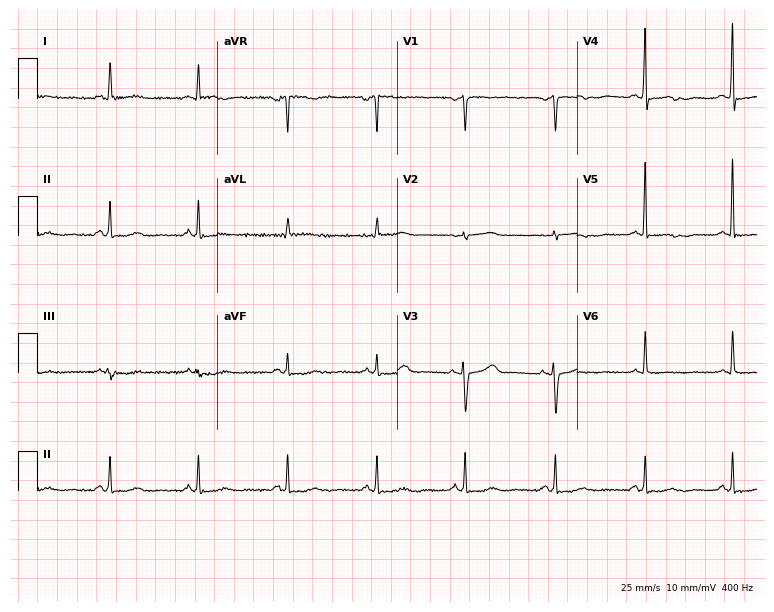
Resting 12-lead electrocardiogram. Patient: a 73-year-old female. None of these six findings is recorded: first-degree AV block, right bundle branch block, left bundle branch block, sinus bradycardia, atrial fibrillation, sinus tachycardia. Findings outside these six are not listed.